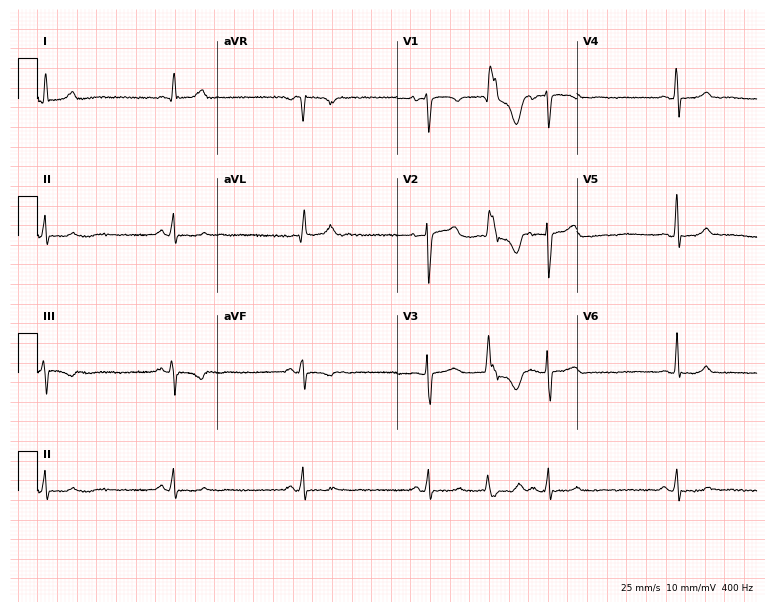
Electrocardiogram, a 40-year-old female. Interpretation includes sinus bradycardia (a sinus rate of 50 beats per minute or less).